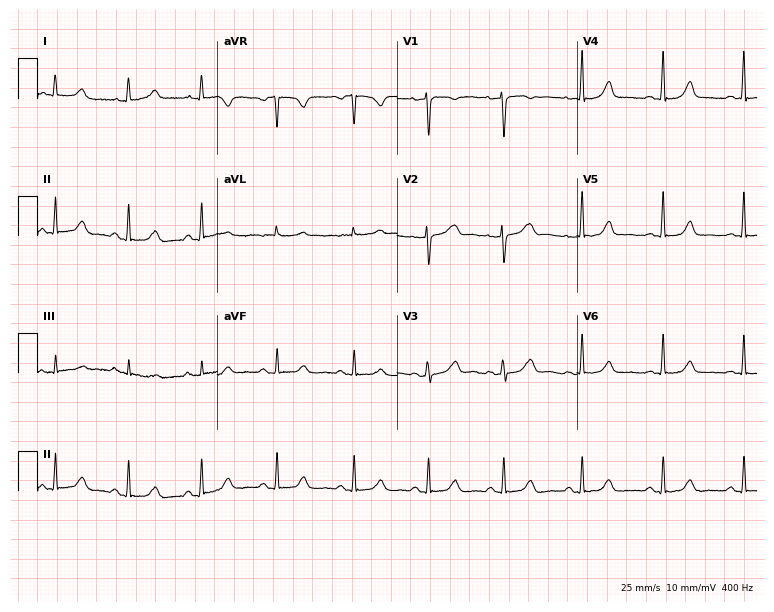
Electrocardiogram, a female patient, 46 years old. Of the six screened findings (first-degree AV block, right bundle branch block (RBBB), left bundle branch block (LBBB), sinus bradycardia, atrial fibrillation (AF), sinus tachycardia), none is recorded. Other findings, if any, are not listed.